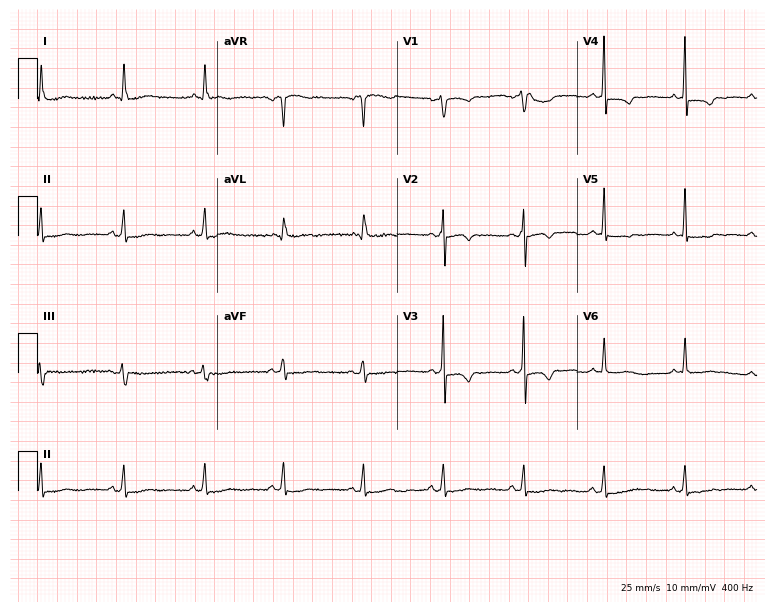
Electrocardiogram (7.3-second recording at 400 Hz), a female patient, 65 years old. Of the six screened findings (first-degree AV block, right bundle branch block, left bundle branch block, sinus bradycardia, atrial fibrillation, sinus tachycardia), none is recorded. Only these six findings were labelled.